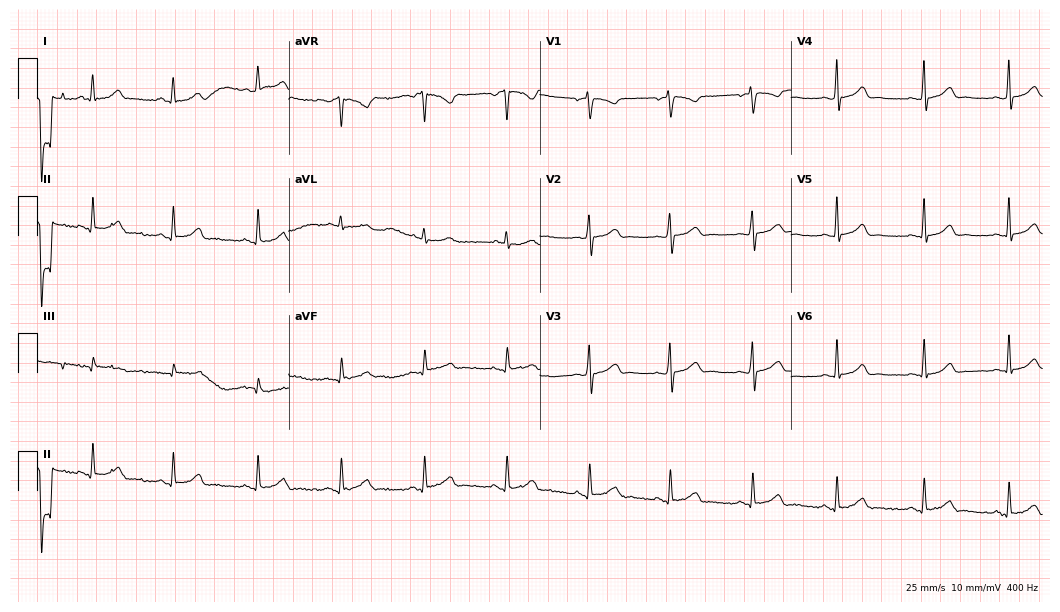
12-lead ECG from a woman, 37 years old. Recorded interpretation: within normal limits.